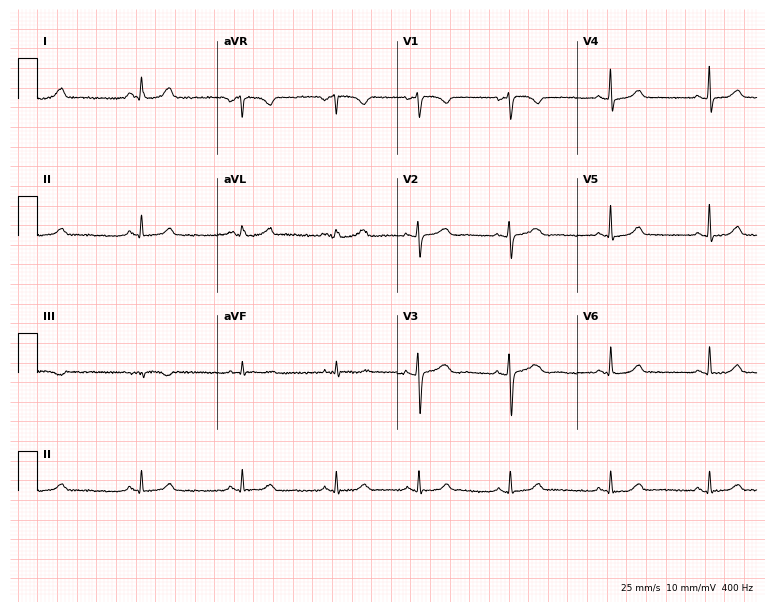
ECG — a 38-year-old female patient. Labelled as a normal ECG.